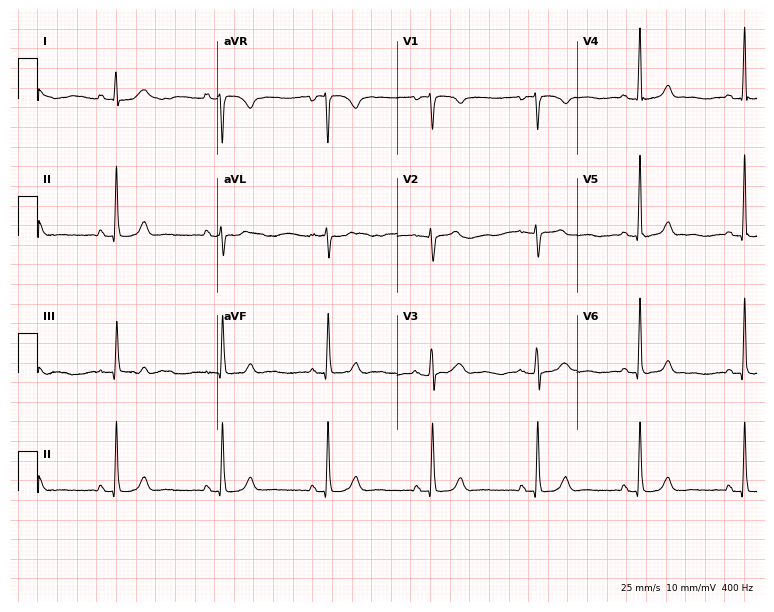
Resting 12-lead electrocardiogram. Patient: a female, 40 years old. None of these six findings is recorded: first-degree AV block, right bundle branch block, left bundle branch block, sinus bradycardia, atrial fibrillation, sinus tachycardia. Other findings, if any, are not listed.